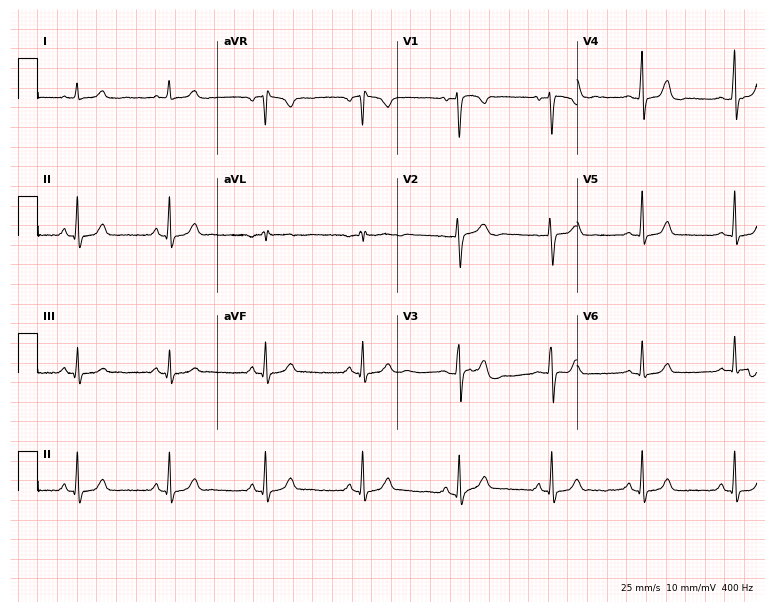
12-lead ECG from a female, 32 years old. Screened for six findings — first-degree AV block, right bundle branch block, left bundle branch block, sinus bradycardia, atrial fibrillation, sinus tachycardia — none is recorded. Only these six findings were labelled.